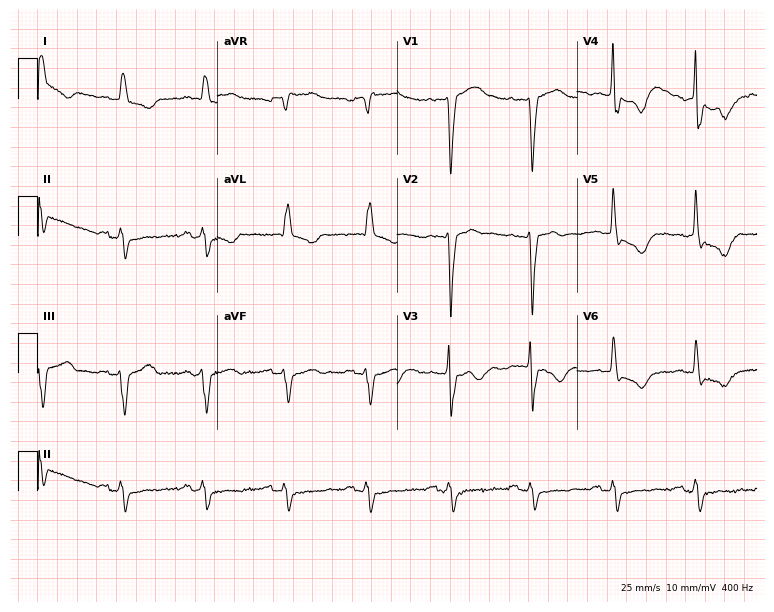
ECG — a male patient, 79 years old. Findings include left bundle branch block.